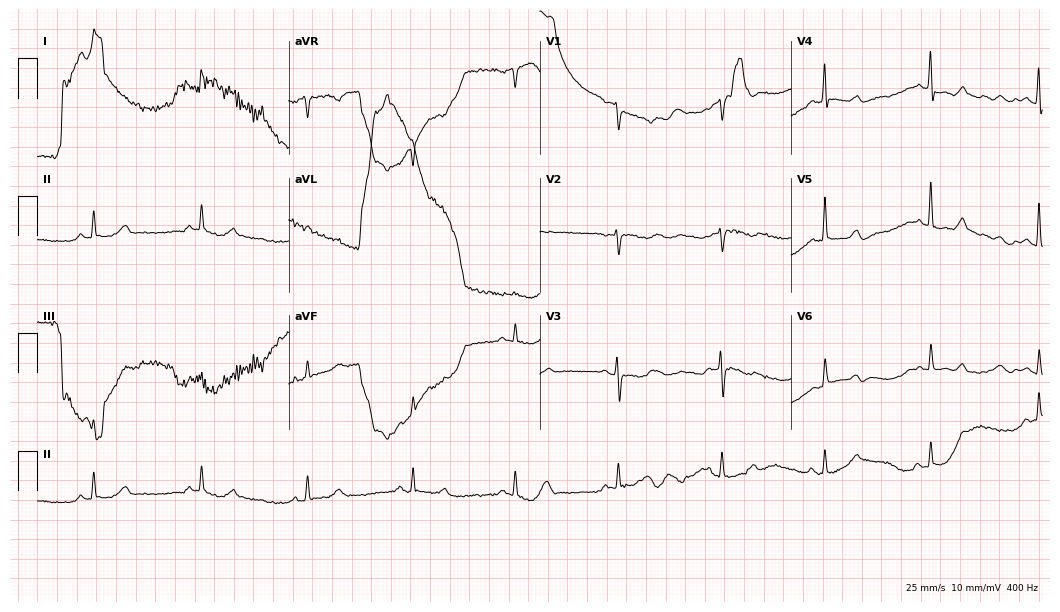
12-lead ECG from a female patient, 69 years old (10.2-second recording at 400 Hz). Recorded interpretation: within normal limits.